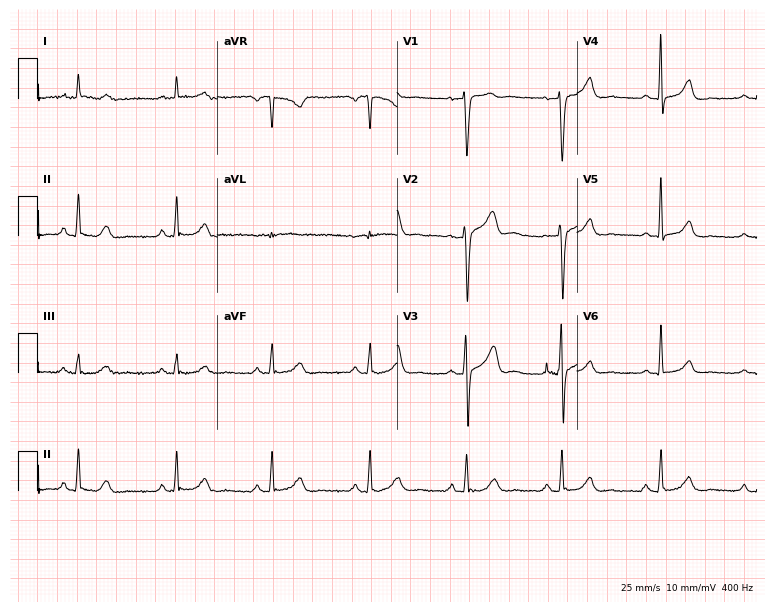
Standard 12-lead ECG recorded from a 49-year-old male (7.3-second recording at 400 Hz). Read as a normal ECG.